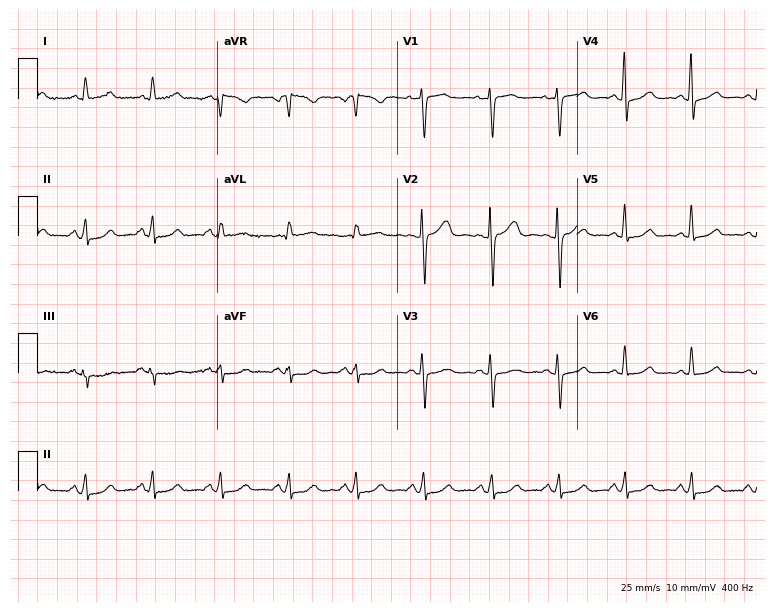
12-lead ECG from a woman, 58 years old. Labelled as a normal ECG.